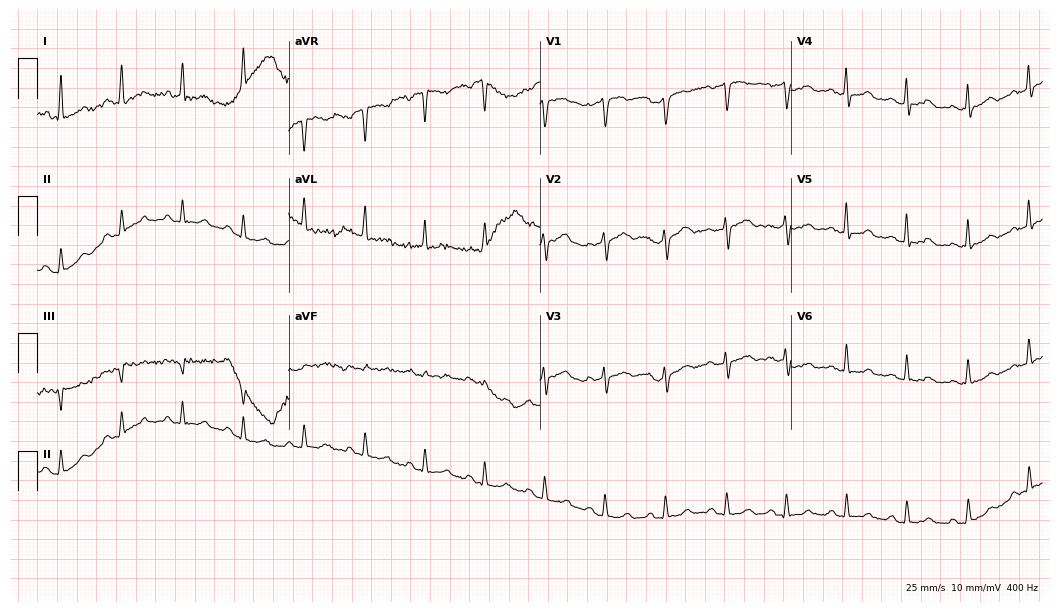
12-lead ECG from a 39-year-old female (10.2-second recording at 400 Hz). Recorded interpretation: within normal limits.